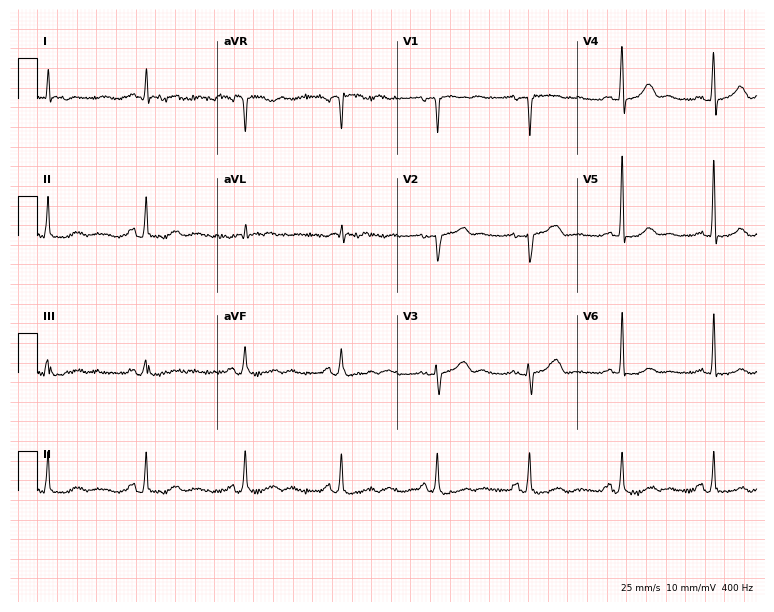
Resting 12-lead electrocardiogram (7.3-second recording at 400 Hz). Patient: a 57-year-old woman. None of these six findings is recorded: first-degree AV block, right bundle branch block, left bundle branch block, sinus bradycardia, atrial fibrillation, sinus tachycardia. Other findings, if any, are not listed.